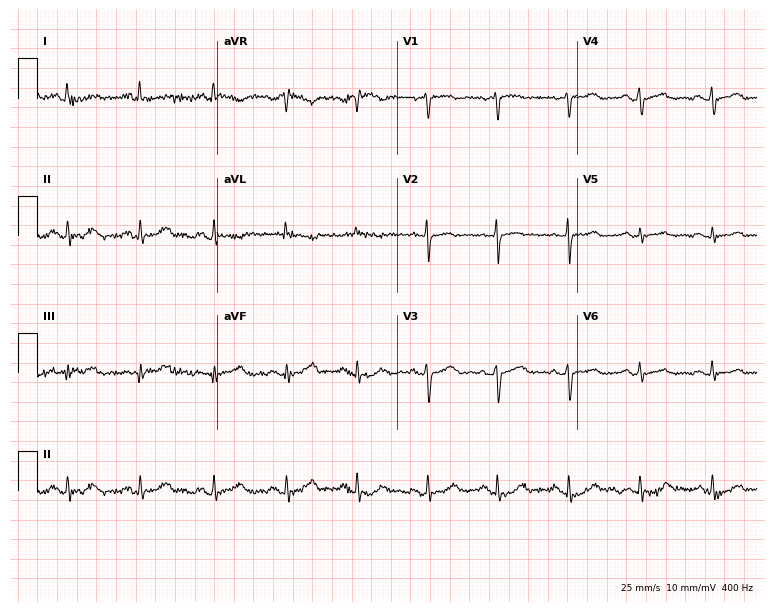
12-lead ECG from a woman, 57 years old (7.3-second recording at 400 Hz). Recorded interpretation: within normal limits.